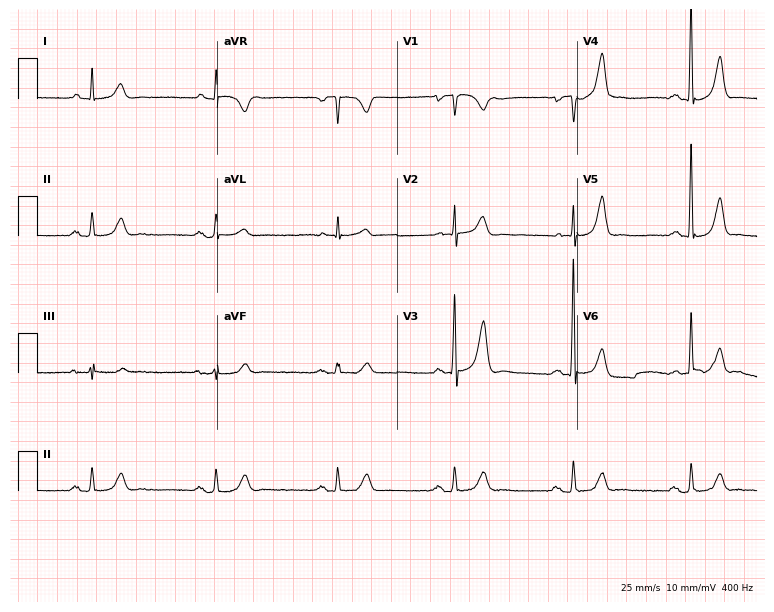
Resting 12-lead electrocardiogram (7.3-second recording at 400 Hz). Patient: a man, 82 years old. The tracing shows sinus bradycardia (a sinus rate of 50 beats per minute or less).